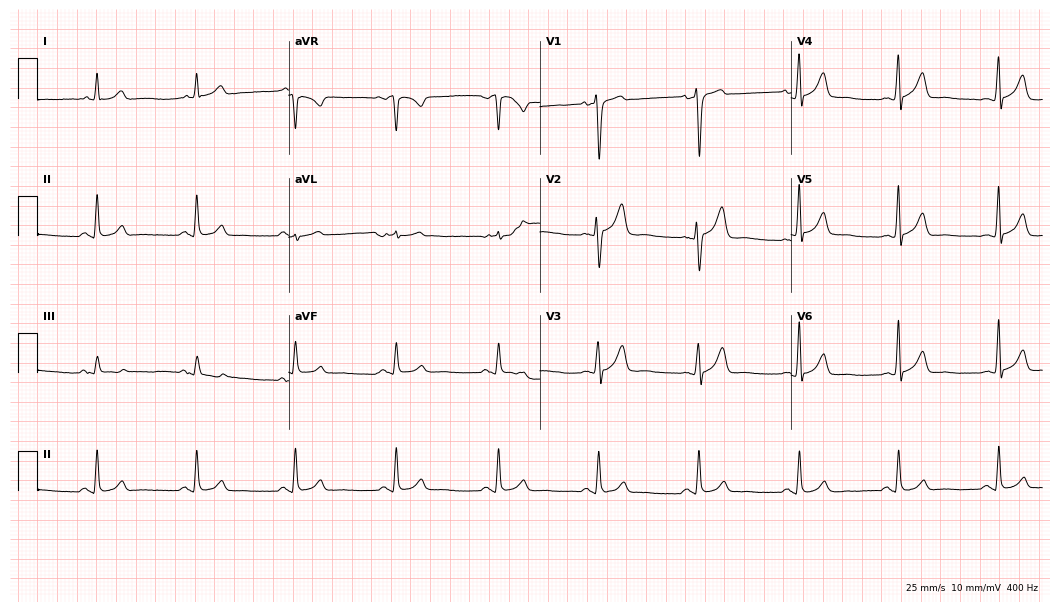
12-lead ECG from a 60-year-old male patient. Recorded interpretation: within normal limits.